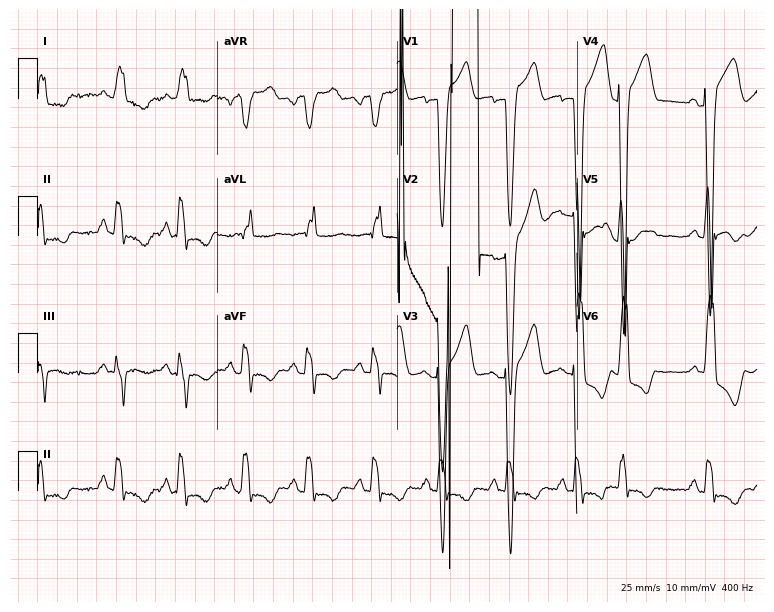
ECG — a 72-year-old female patient. Findings include left bundle branch block (LBBB).